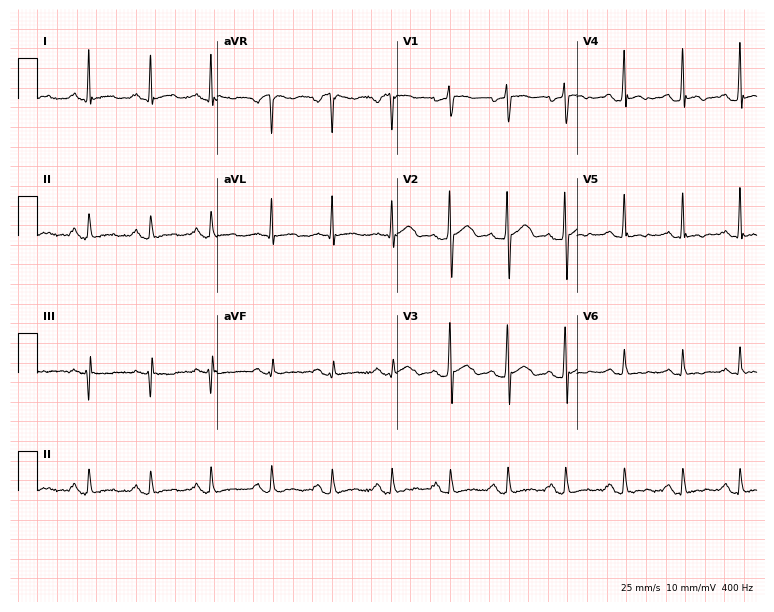
Resting 12-lead electrocardiogram. Patient: a 41-year-old male. Read as a normal ECG.